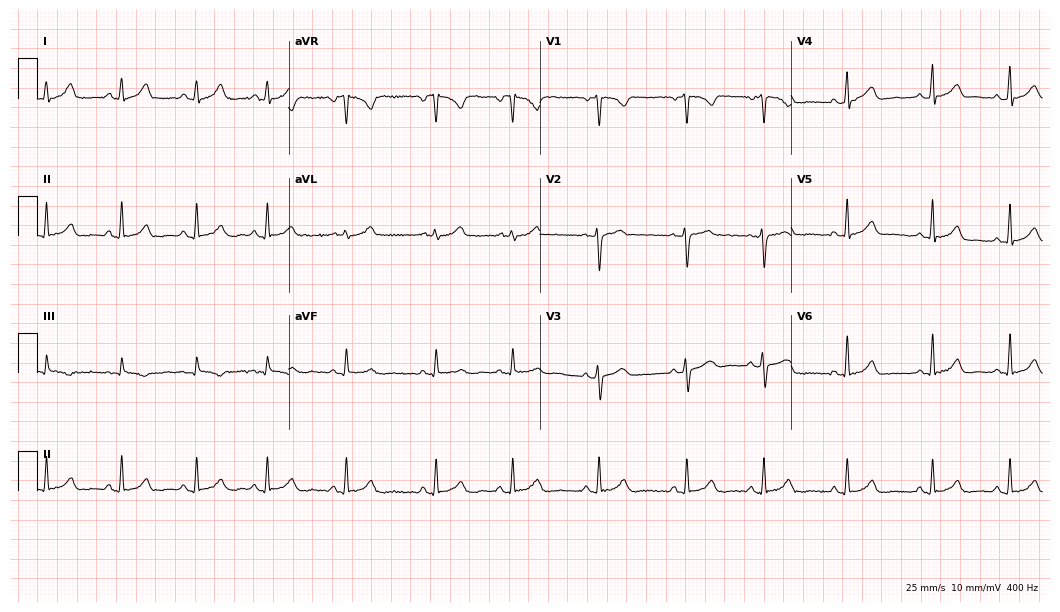
Standard 12-lead ECG recorded from a female patient, 22 years old (10.2-second recording at 400 Hz). Read as a normal ECG.